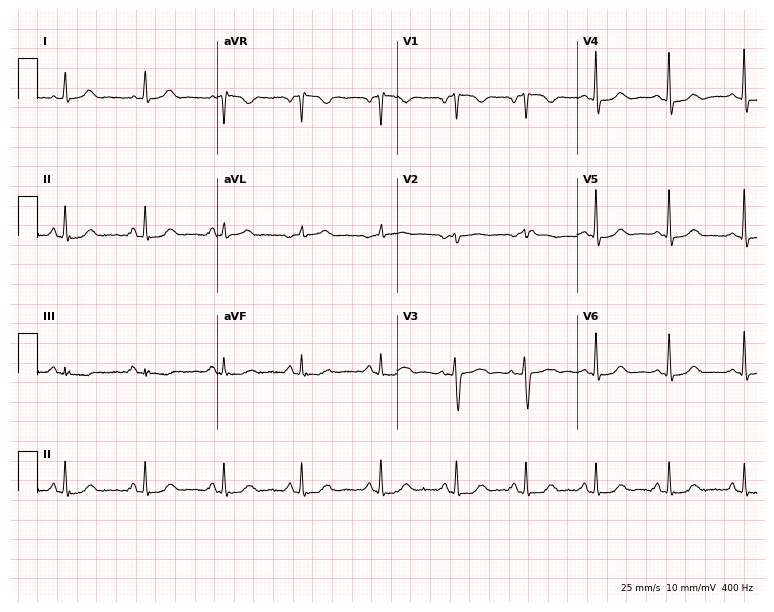
12-lead ECG from a 54-year-old female patient (7.3-second recording at 400 Hz). No first-degree AV block, right bundle branch block, left bundle branch block, sinus bradycardia, atrial fibrillation or sinus tachycardia recorded for this tracing.